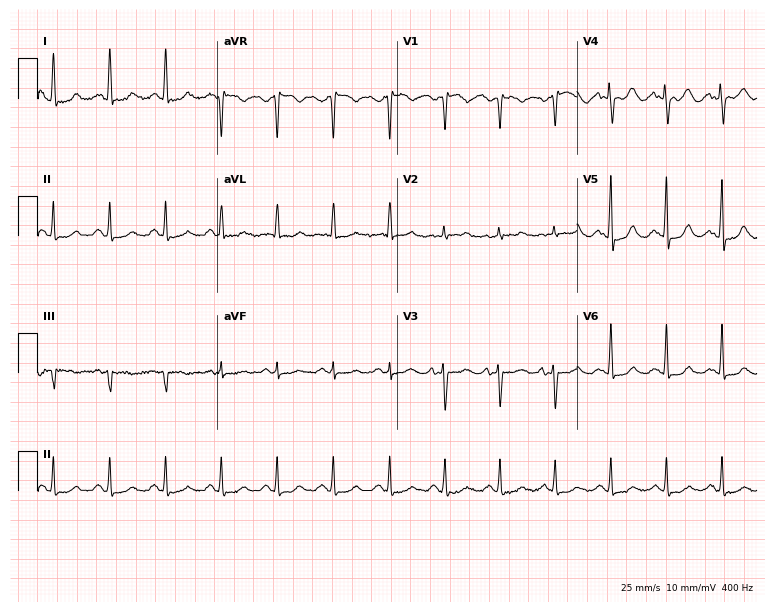
Resting 12-lead electrocardiogram (7.3-second recording at 400 Hz). Patient: a 54-year-old woman. The tracing shows sinus tachycardia (a sinus rate of 100 beats per minute or more).